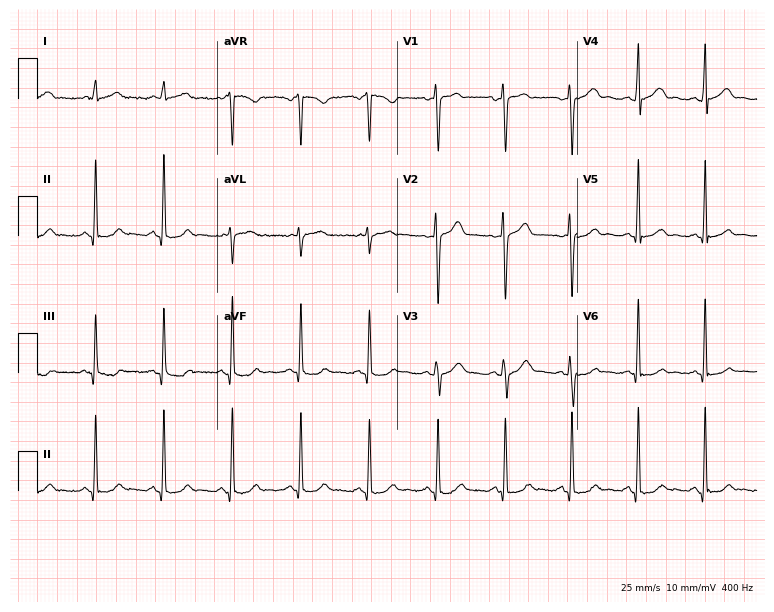
Resting 12-lead electrocardiogram. Patient: a man, 34 years old. Read as a normal ECG.